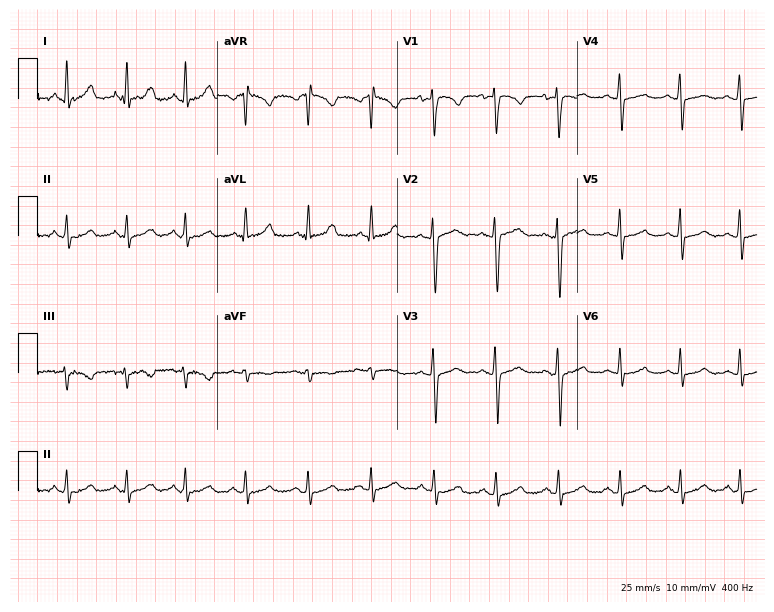
Resting 12-lead electrocardiogram. Patient: a woman, 24 years old. Read as a normal ECG.